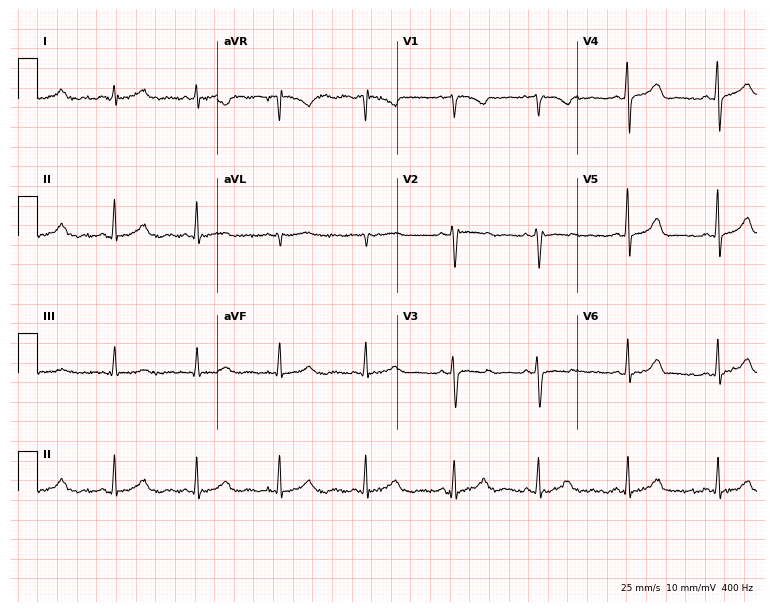
Resting 12-lead electrocardiogram. Patient: a woman, 49 years old. Read as a normal ECG.